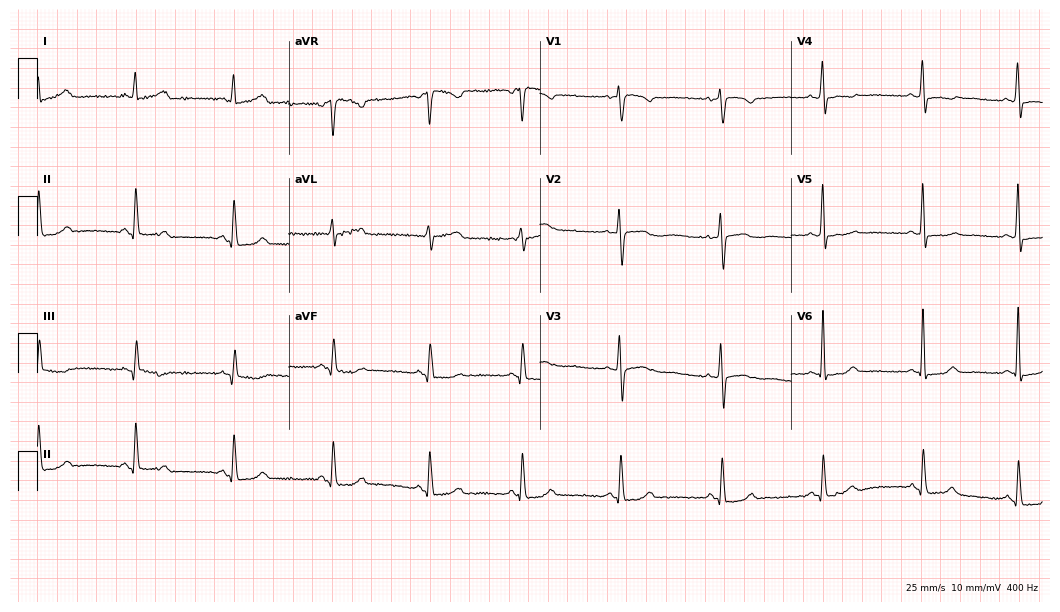
Electrocardiogram (10.2-second recording at 400 Hz), a 45-year-old female patient. Of the six screened findings (first-degree AV block, right bundle branch block (RBBB), left bundle branch block (LBBB), sinus bradycardia, atrial fibrillation (AF), sinus tachycardia), none is recorded. Only these six findings were labelled.